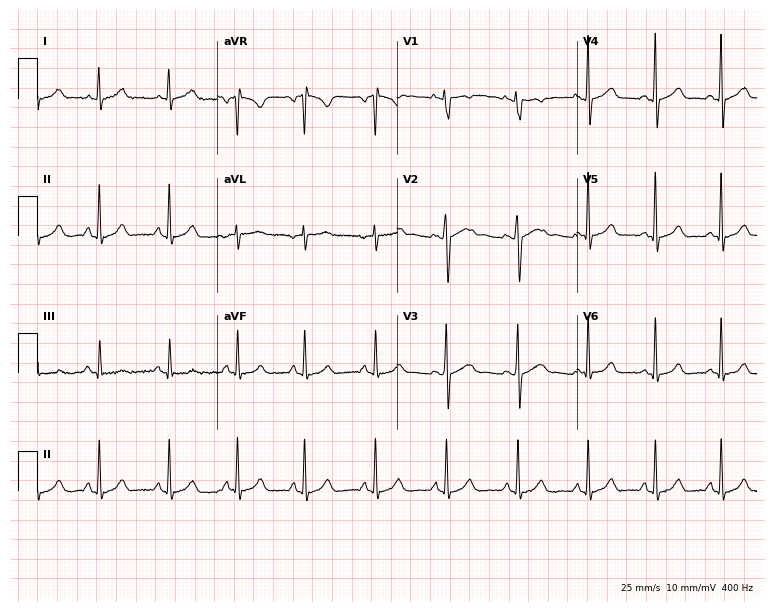
Standard 12-lead ECG recorded from an 18-year-old female. Read as a normal ECG.